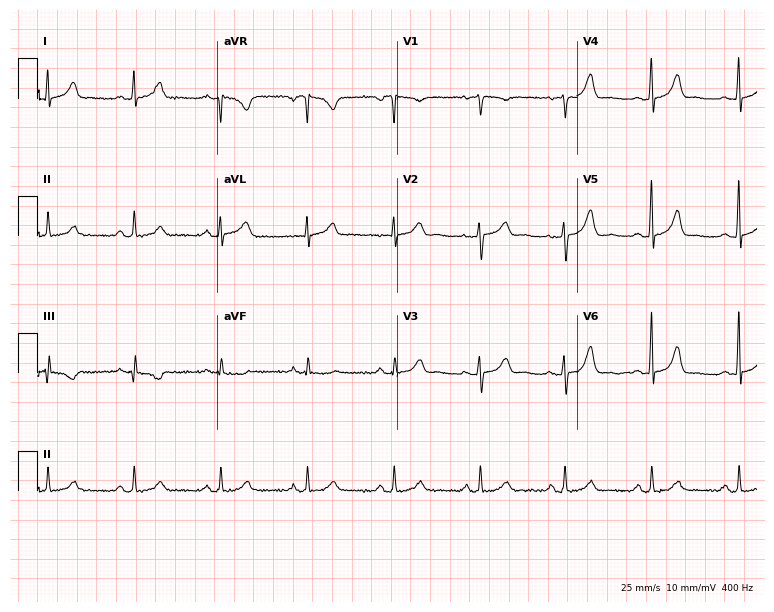
12-lead ECG (7.3-second recording at 400 Hz) from a female, 45 years old. Labelled as a normal ECG.